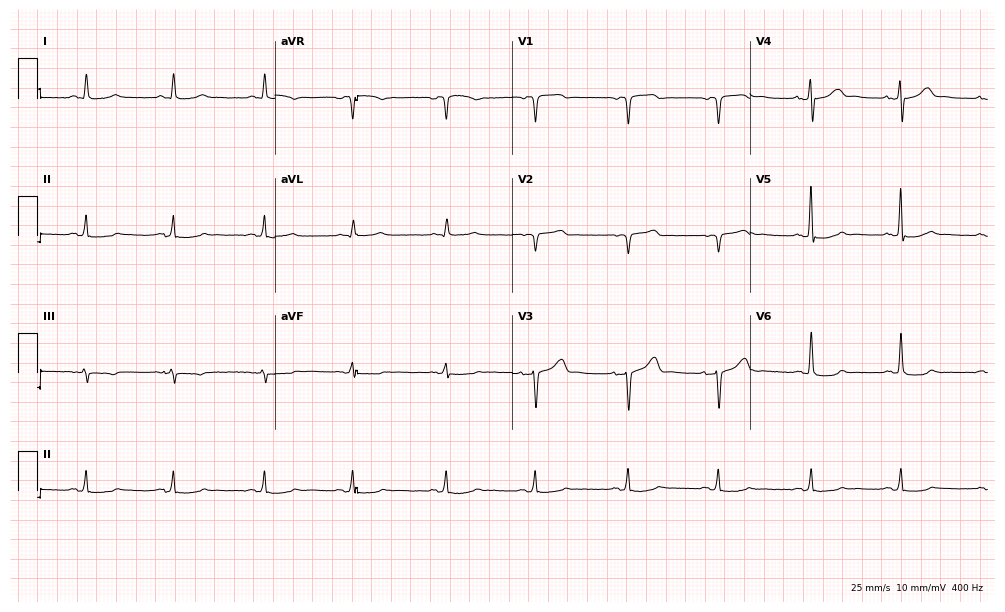
12-lead ECG (9.7-second recording at 400 Hz) from a 73-year-old male. Screened for six findings — first-degree AV block, right bundle branch block (RBBB), left bundle branch block (LBBB), sinus bradycardia, atrial fibrillation (AF), sinus tachycardia — none is recorded. Findings outside these six are not listed.